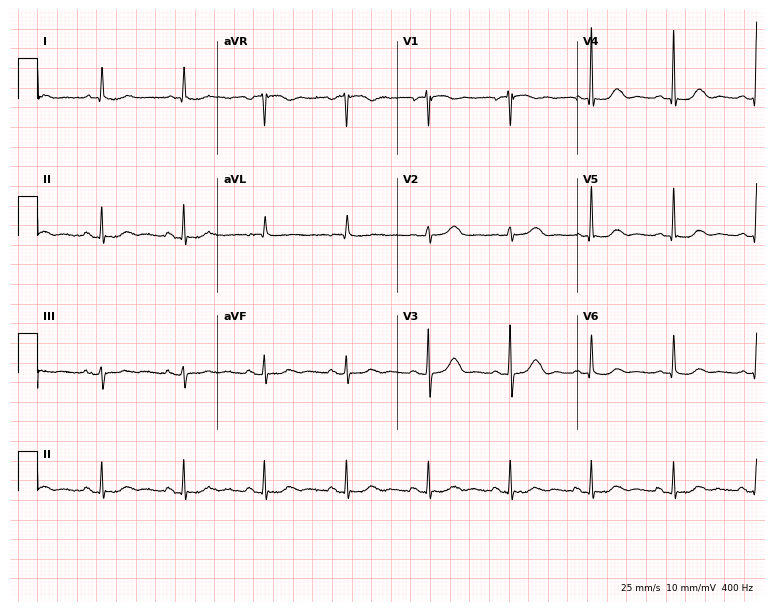
12-lead ECG (7.3-second recording at 400 Hz) from a female patient, 68 years old. Screened for six findings — first-degree AV block, right bundle branch block (RBBB), left bundle branch block (LBBB), sinus bradycardia, atrial fibrillation (AF), sinus tachycardia — none is recorded.